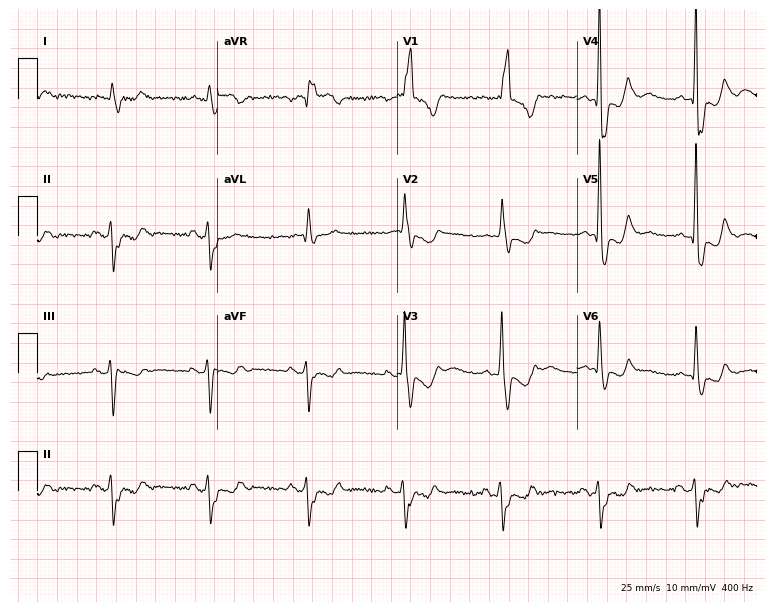
Resting 12-lead electrocardiogram. Patient: a male, 83 years old. The tracing shows right bundle branch block.